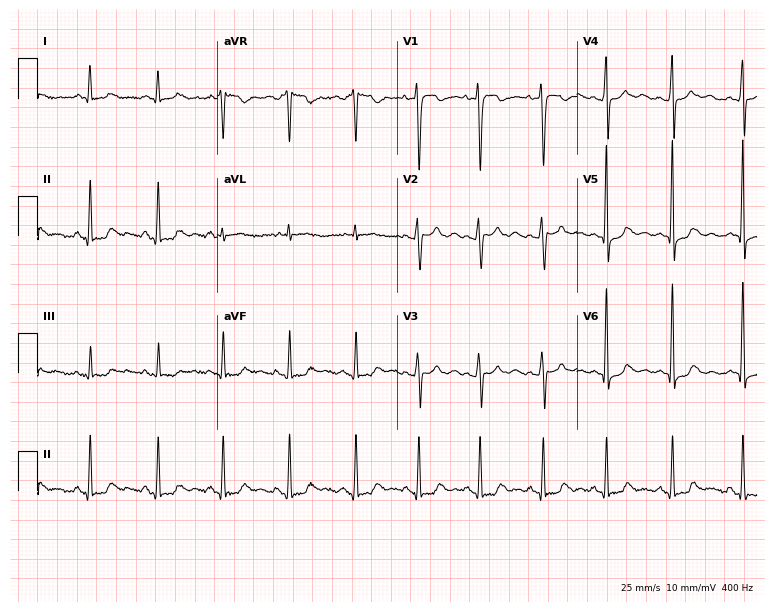
12-lead ECG (7.3-second recording at 400 Hz) from a 25-year-old woman. Screened for six findings — first-degree AV block, right bundle branch block, left bundle branch block, sinus bradycardia, atrial fibrillation, sinus tachycardia — none is recorded.